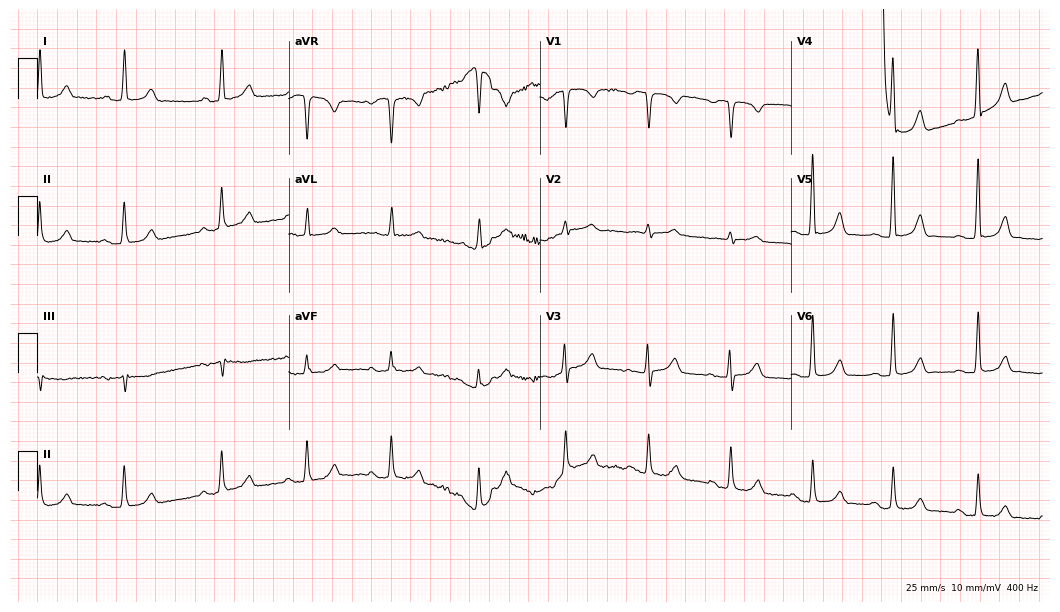
12-lead ECG (10.2-second recording at 400 Hz) from an 80-year-old female. Labelled as a normal ECG.